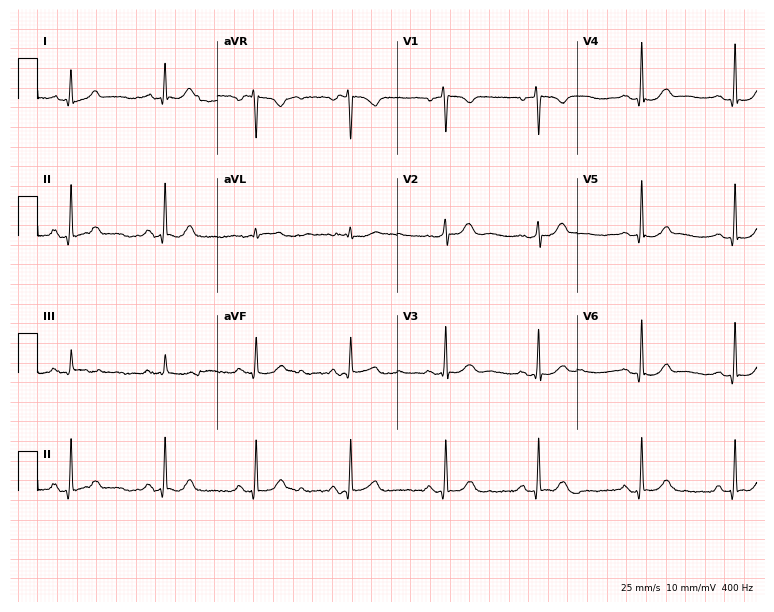
12-lead ECG from a female, 47 years old. Labelled as a normal ECG.